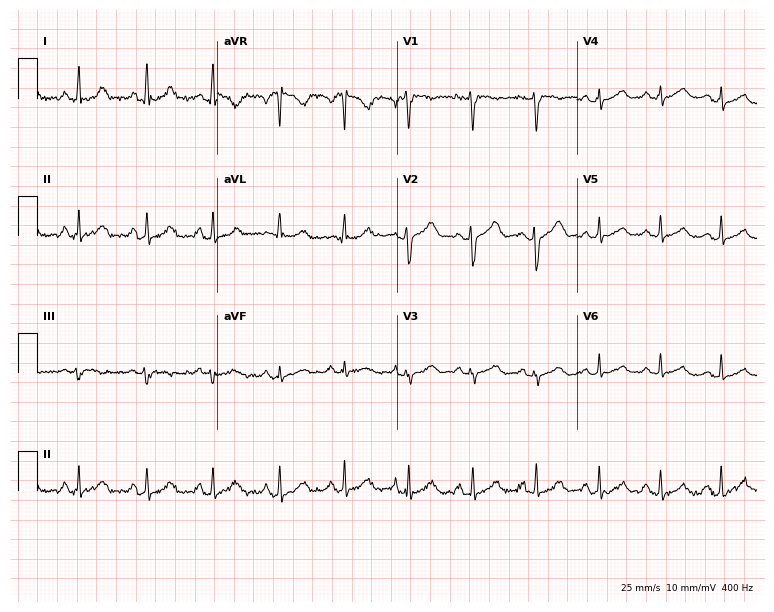
12-lead ECG from a female, 24 years old. Recorded interpretation: within normal limits.